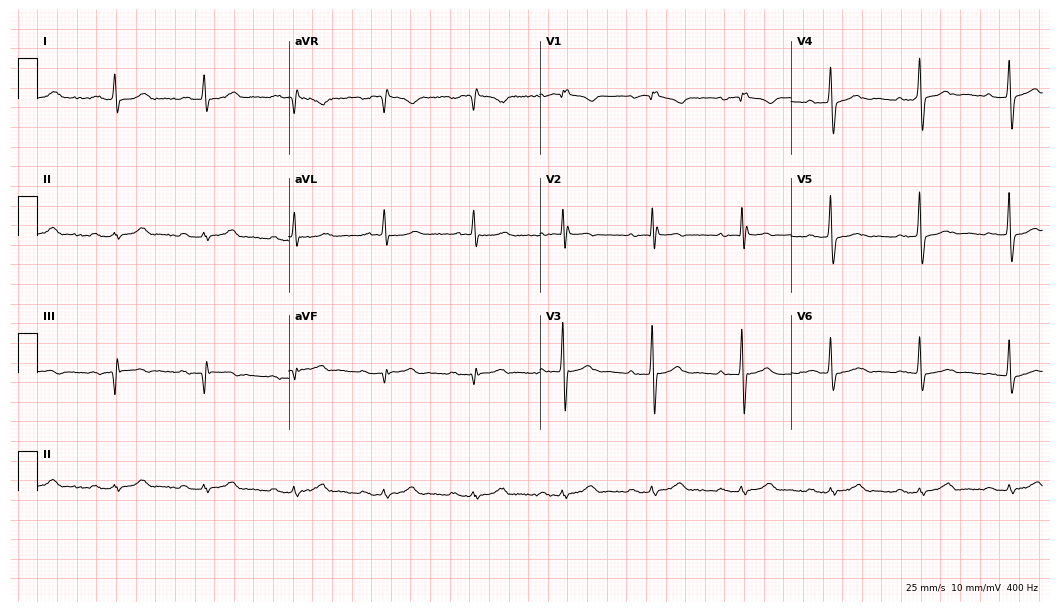
Electrocardiogram, a 78-year-old male patient. Interpretation includes first-degree AV block.